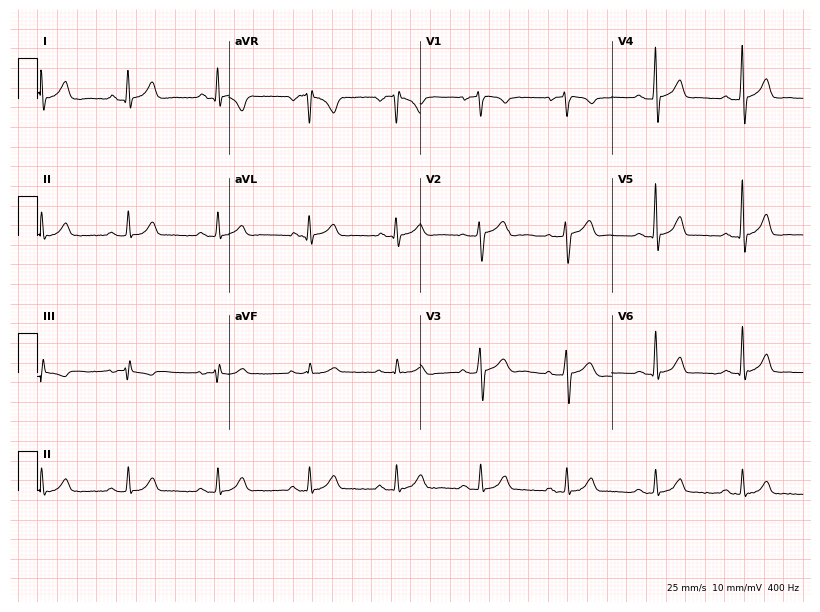
ECG — a male patient, 34 years old. Screened for six findings — first-degree AV block, right bundle branch block, left bundle branch block, sinus bradycardia, atrial fibrillation, sinus tachycardia — none is recorded. Only these six findings were labelled.